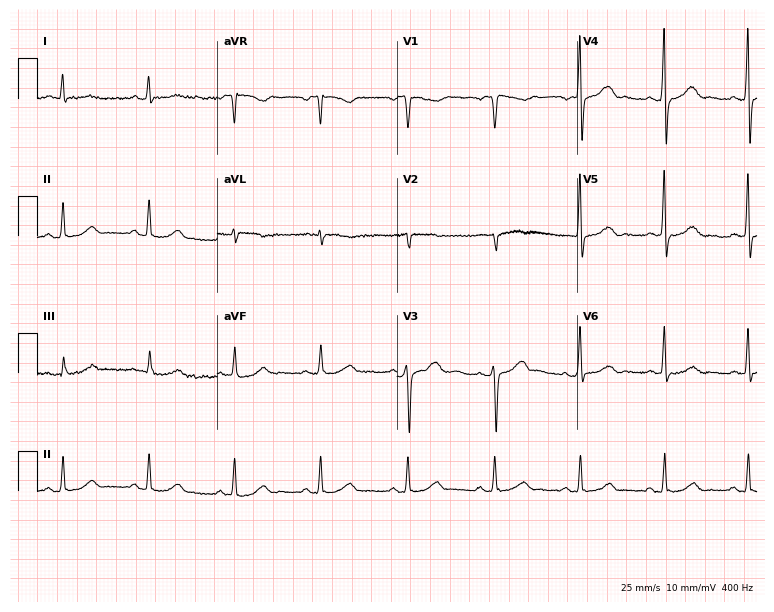
12-lead ECG from a 57-year-old male (7.3-second recording at 400 Hz). No first-degree AV block, right bundle branch block, left bundle branch block, sinus bradycardia, atrial fibrillation or sinus tachycardia recorded for this tracing. Other findings, if any, are not listed.